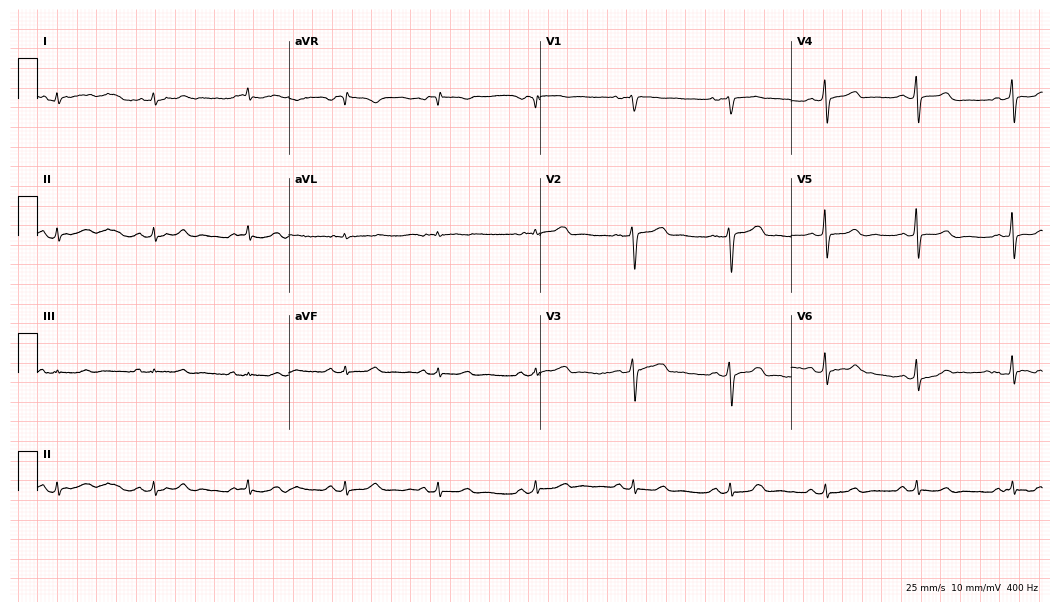
12-lead ECG from a 38-year-old female (10.2-second recording at 400 Hz). Recorded interpretation: within normal limits.